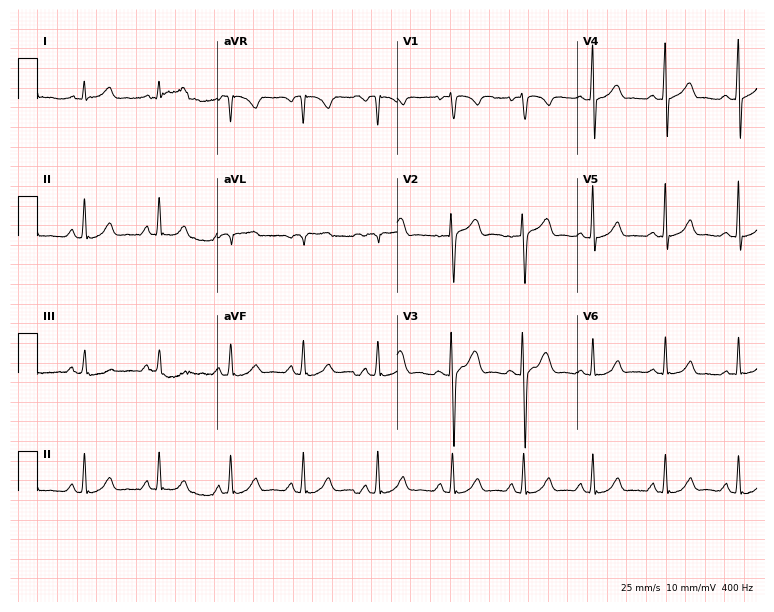
Standard 12-lead ECG recorded from a male, 35 years old (7.3-second recording at 400 Hz). Read as a normal ECG.